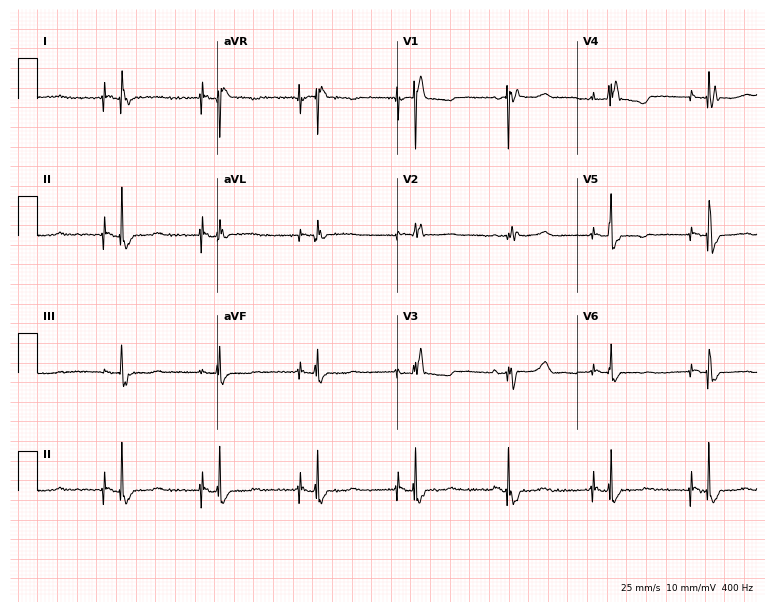
Resting 12-lead electrocardiogram. Patient: an 81-year-old female. None of these six findings is recorded: first-degree AV block, right bundle branch block, left bundle branch block, sinus bradycardia, atrial fibrillation, sinus tachycardia. Other findings, if any, are not listed.